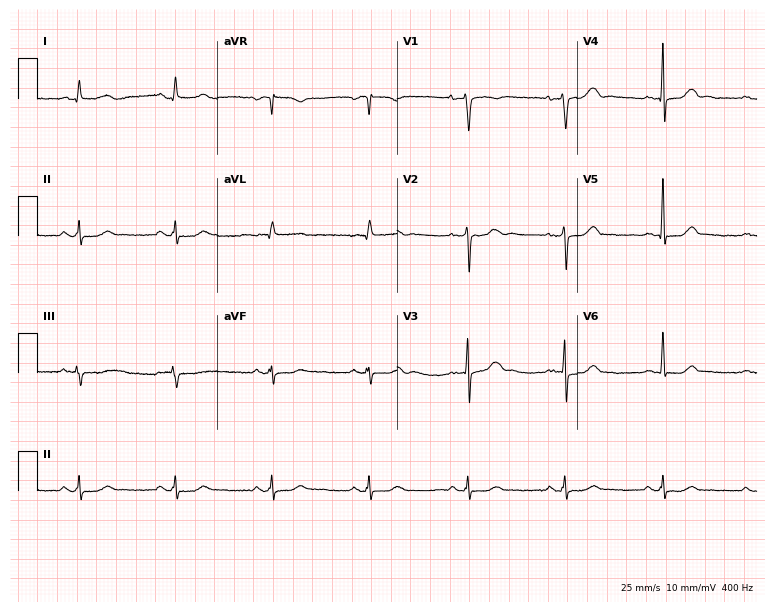
Electrocardiogram (7.3-second recording at 400 Hz), a male, 72 years old. Overall reading on record: normal ECG.